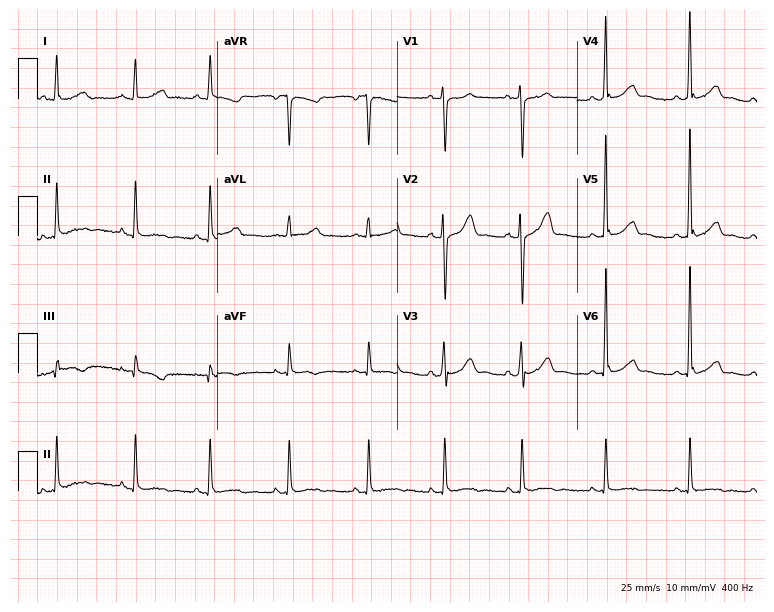
12-lead ECG from a male, 38 years old. Screened for six findings — first-degree AV block, right bundle branch block, left bundle branch block, sinus bradycardia, atrial fibrillation, sinus tachycardia — none is recorded. Findings outside these six are not listed.